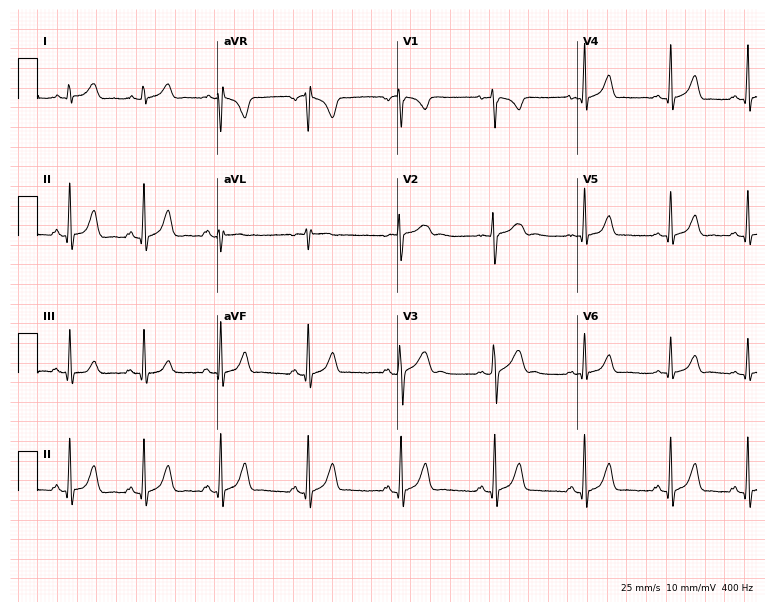
Standard 12-lead ECG recorded from a female, 17 years old. Read as a normal ECG.